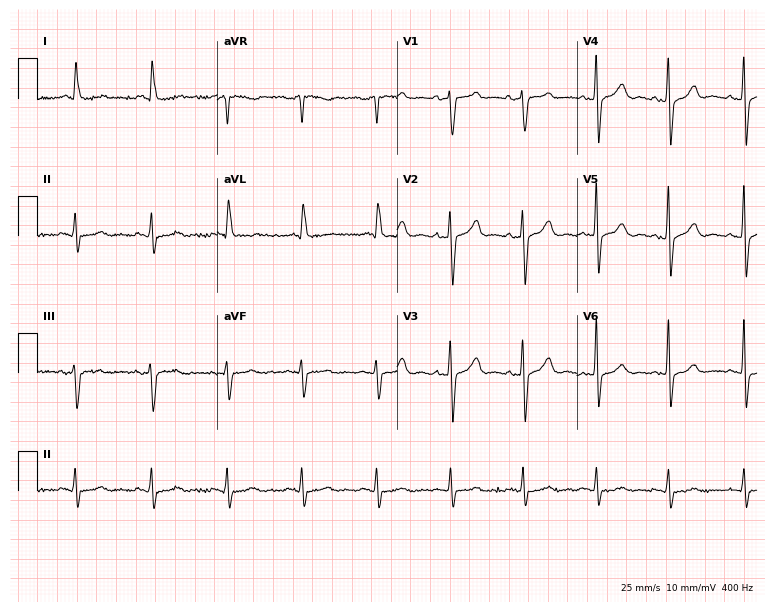
Standard 12-lead ECG recorded from an 83-year-old man (7.3-second recording at 400 Hz). Read as a normal ECG.